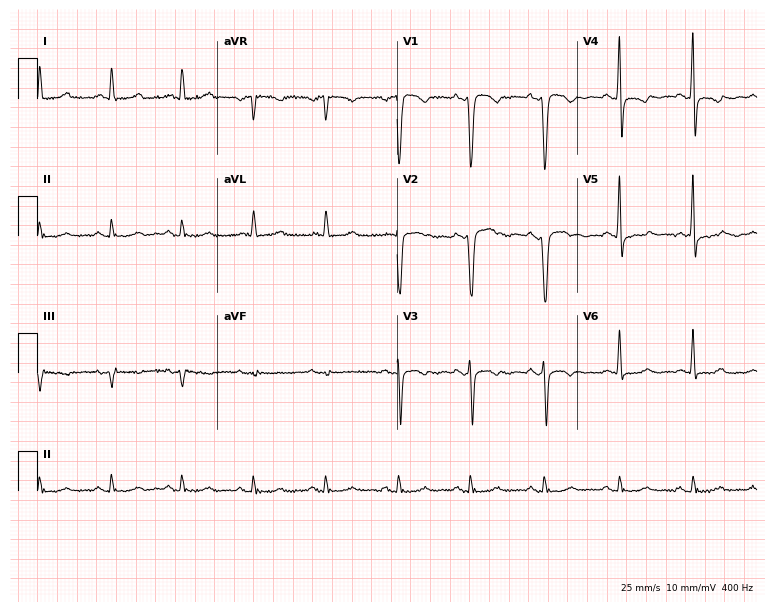
12-lead ECG from a 62-year-old female patient. Screened for six findings — first-degree AV block, right bundle branch block, left bundle branch block, sinus bradycardia, atrial fibrillation, sinus tachycardia — none is recorded. Other findings, if any, are not listed.